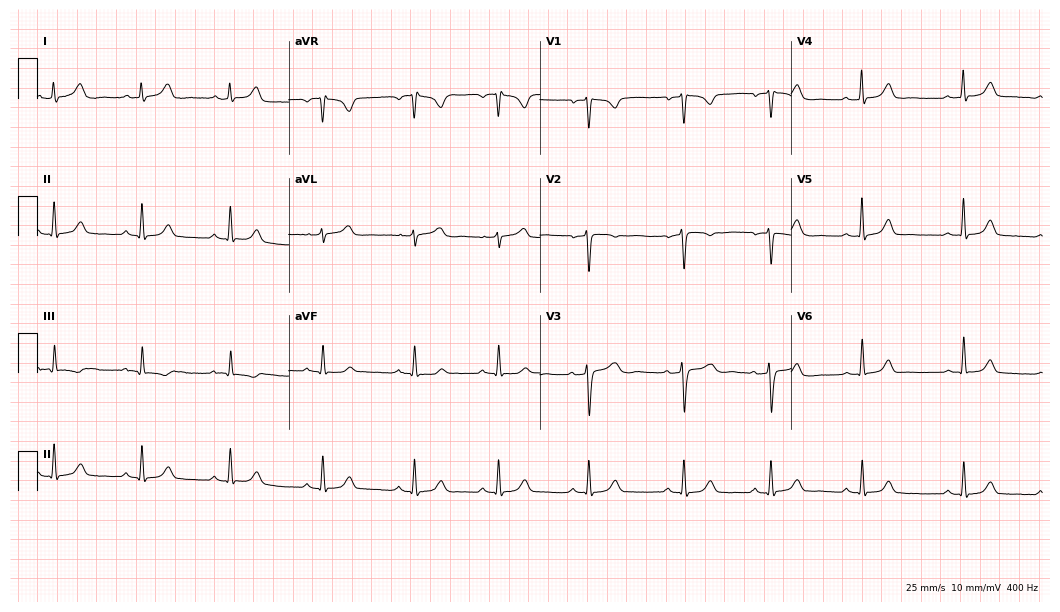
Electrocardiogram (10.2-second recording at 400 Hz), a 43-year-old woman. Overall reading on record: normal ECG.